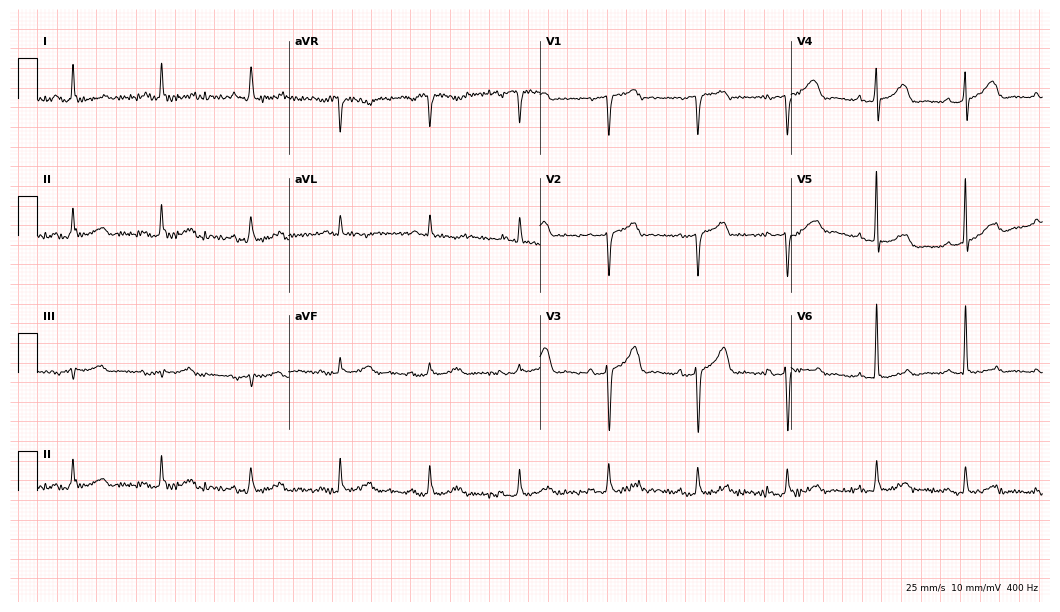
Resting 12-lead electrocardiogram (10.2-second recording at 400 Hz). Patient: a 78-year-old man. Read as a normal ECG.